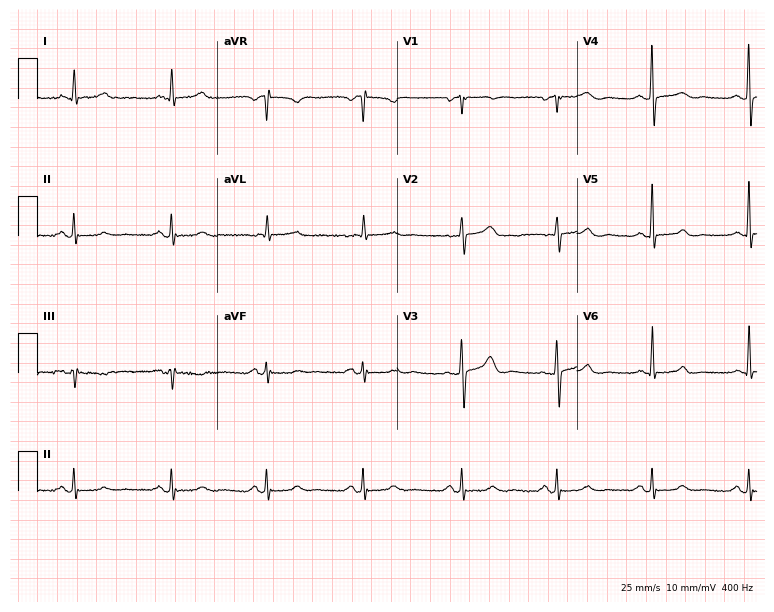
12-lead ECG from a woman, 84 years old (7.3-second recording at 400 Hz). Recorded interpretation: within normal limits.